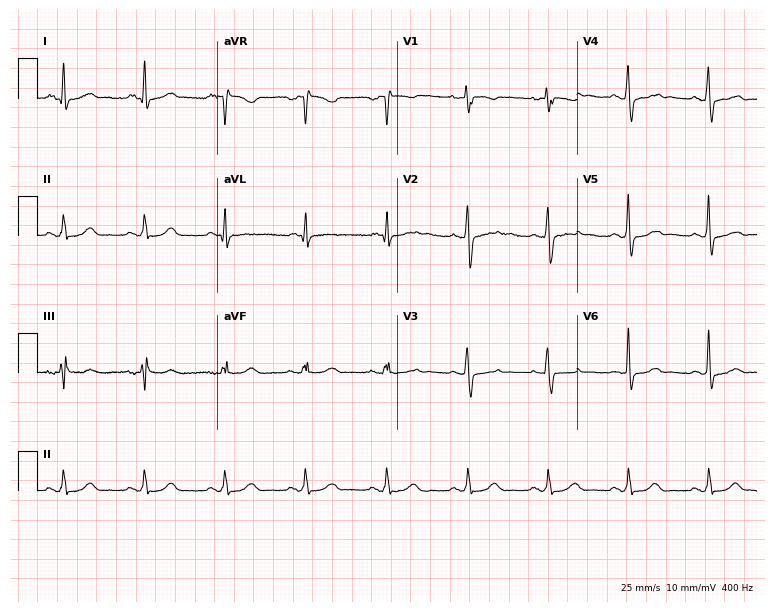
ECG (7.3-second recording at 400 Hz) — a 46-year-old female patient. Screened for six findings — first-degree AV block, right bundle branch block, left bundle branch block, sinus bradycardia, atrial fibrillation, sinus tachycardia — none is recorded.